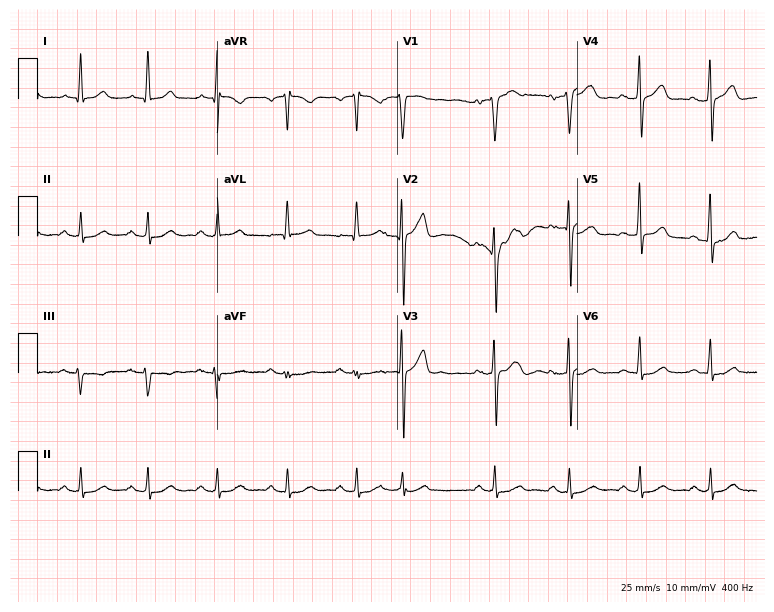
Resting 12-lead electrocardiogram (7.3-second recording at 400 Hz). Patient: a 65-year-old male. Read as a normal ECG.